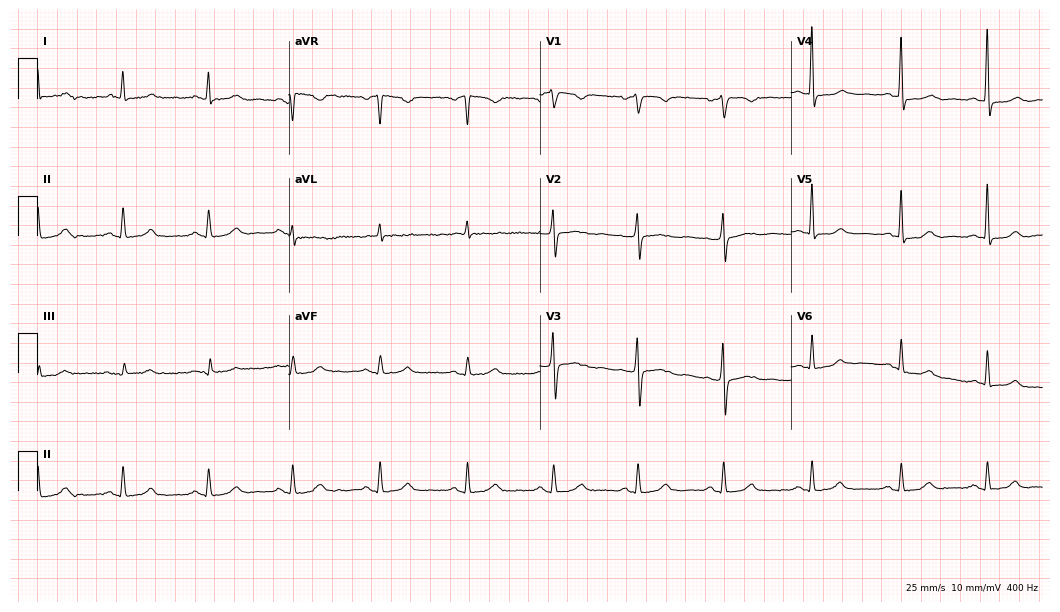
Resting 12-lead electrocardiogram (10.2-second recording at 400 Hz). Patient: a female, 59 years old. Read as a normal ECG.